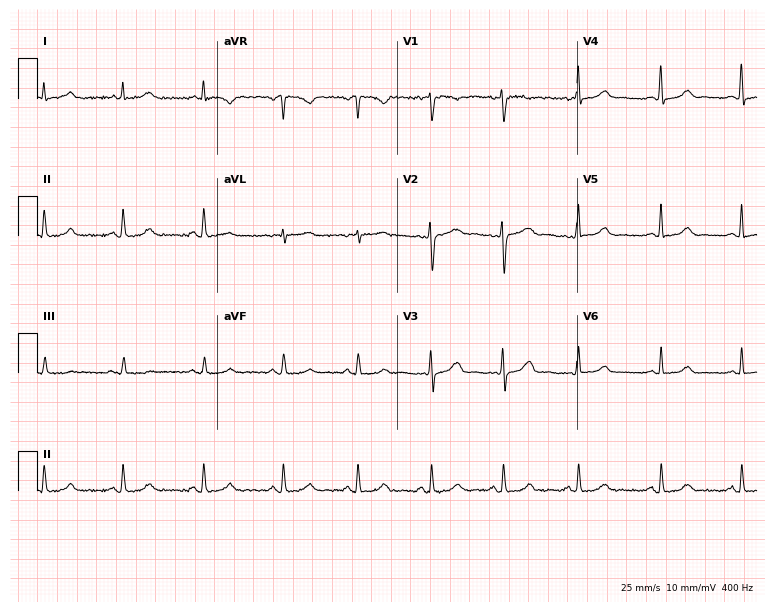
Resting 12-lead electrocardiogram (7.3-second recording at 400 Hz). Patient: a 42-year-old female. Read as a normal ECG.